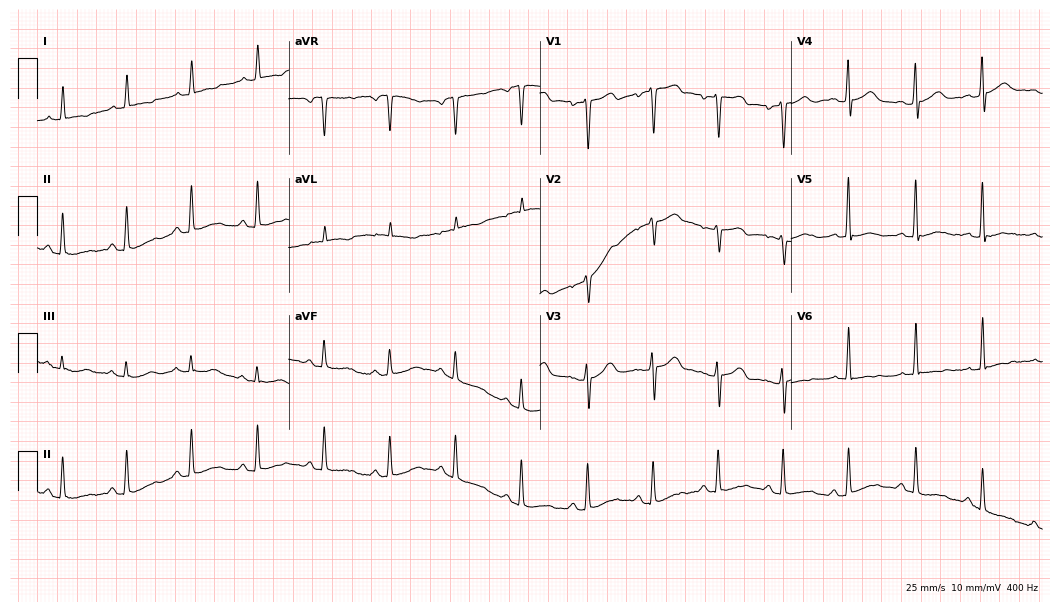
Resting 12-lead electrocardiogram (10.2-second recording at 400 Hz). Patient: a 79-year-old man. None of these six findings is recorded: first-degree AV block, right bundle branch block, left bundle branch block, sinus bradycardia, atrial fibrillation, sinus tachycardia.